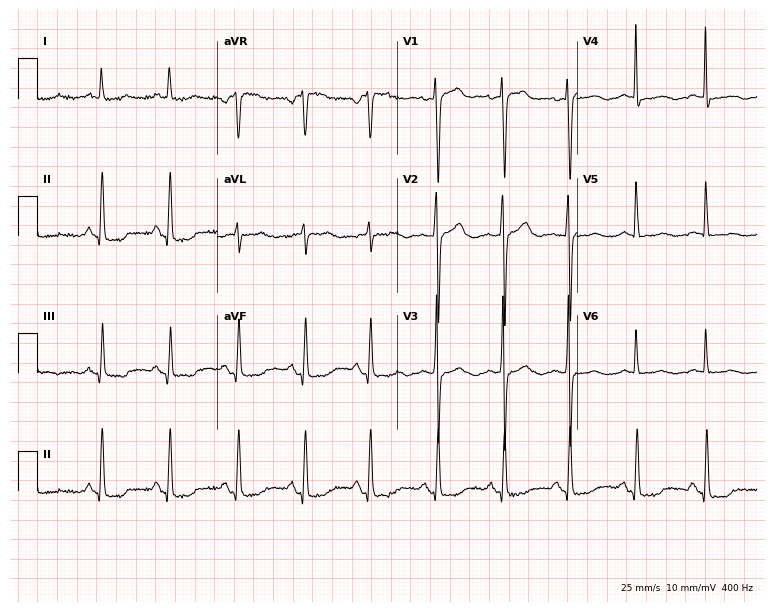
12-lead ECG from a 36-year-old woman (7.3-second recording at 400 Hz). No first-degree AV block, right bundle branch block, left bundle branch block, sinus bradycardia, atrial fibrillation or sinus tachycardia recorded for this tracing.